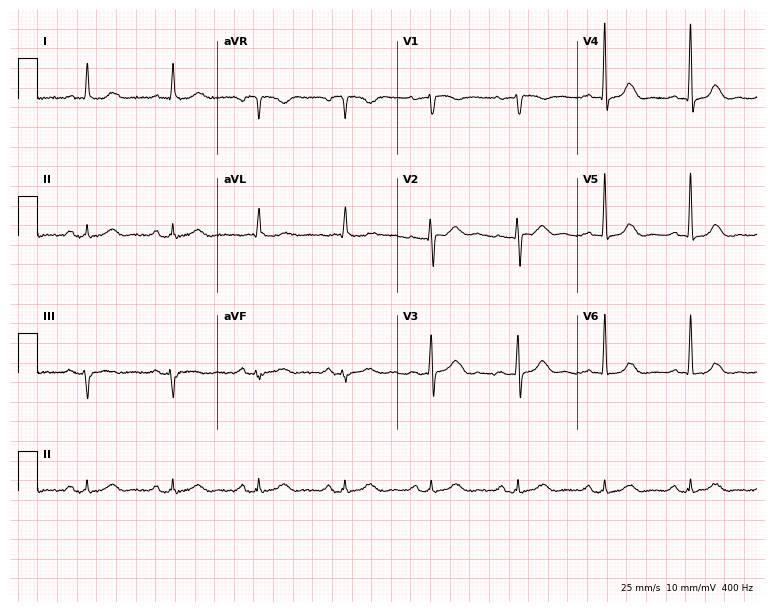
Standard 12-lead ECG recorded from a woman, 80 years old (7.3-second recording at 400 Hz). Read as a normal ECG.